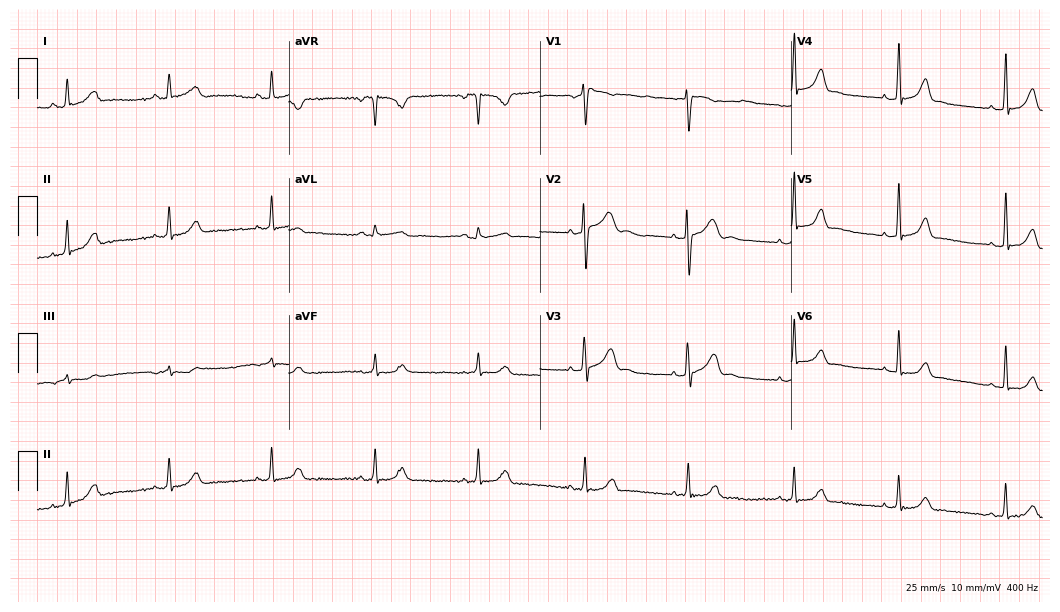
ECG (10.2-second recording at 400 Hz) — a female, 24 years old. Screened for six findings — first-degree AV block, right bundle branch block (RBBB), left bundle branch block (LBBB), sinus bradycardia, atrial fibrillation (AF), sinus tachycardia — none is recorded. Other findings, if any, are not listed.